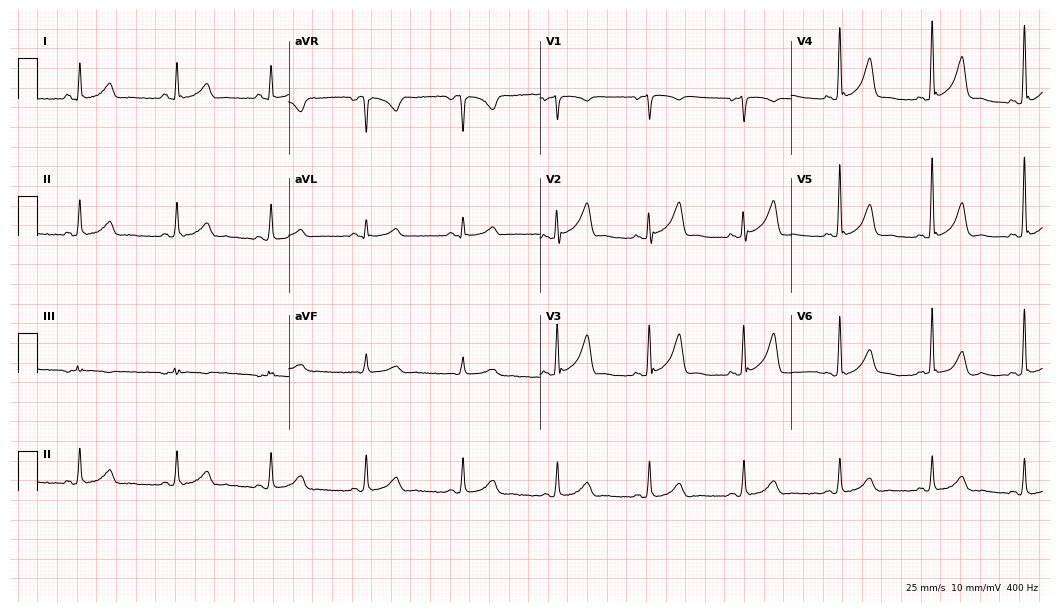
12-lead ECG from a woman, 56 years old (10.2-second recording at 400 Hz). No first-degree AV block, right bundle branch block, left bundle branch block, sinus bradycardia, atrial fibrillation or sinus tachycardia recorded for this tracing.